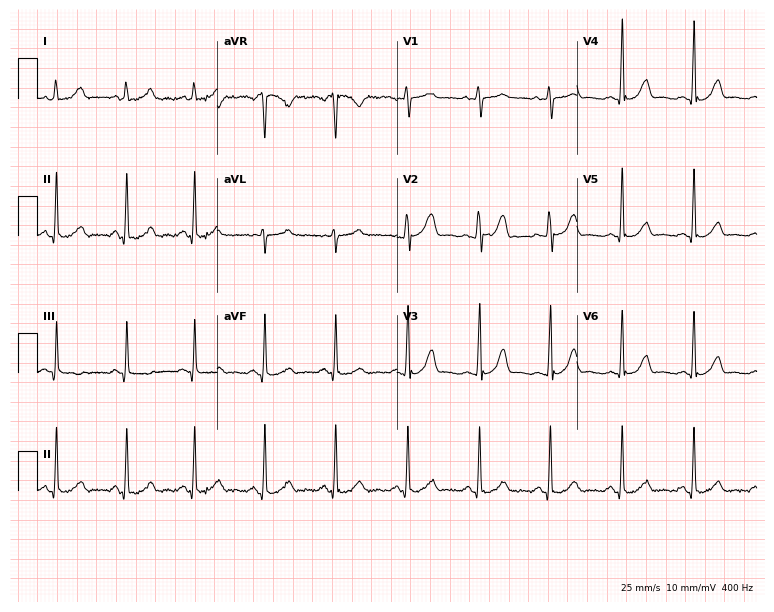
12-lead ECG (7.3-second recording at 400 Hz) from a female, 39 years old. Screened for six findings — first-degree AV block, right bundle branch block, left bundle branch block, sinus bradycardia, atrial fibrillation, sinus tachycardia — none is recorded. Findings outside these six are not listed.